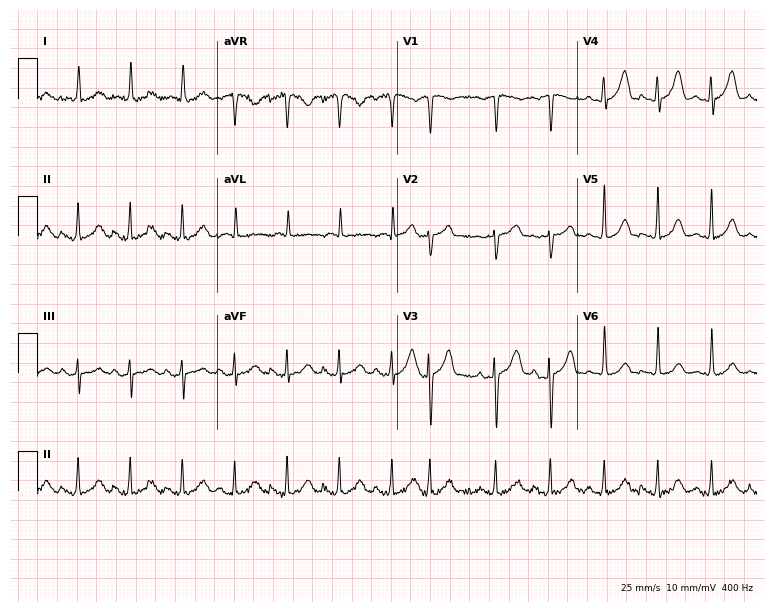
Resting 12-lead electrocardiogram (7.3-second recording at 400 Hz). Patient: a female, 84 years old. The tracing shows sinus tachycardia (a sinus rate of 100 beats per minute or more).